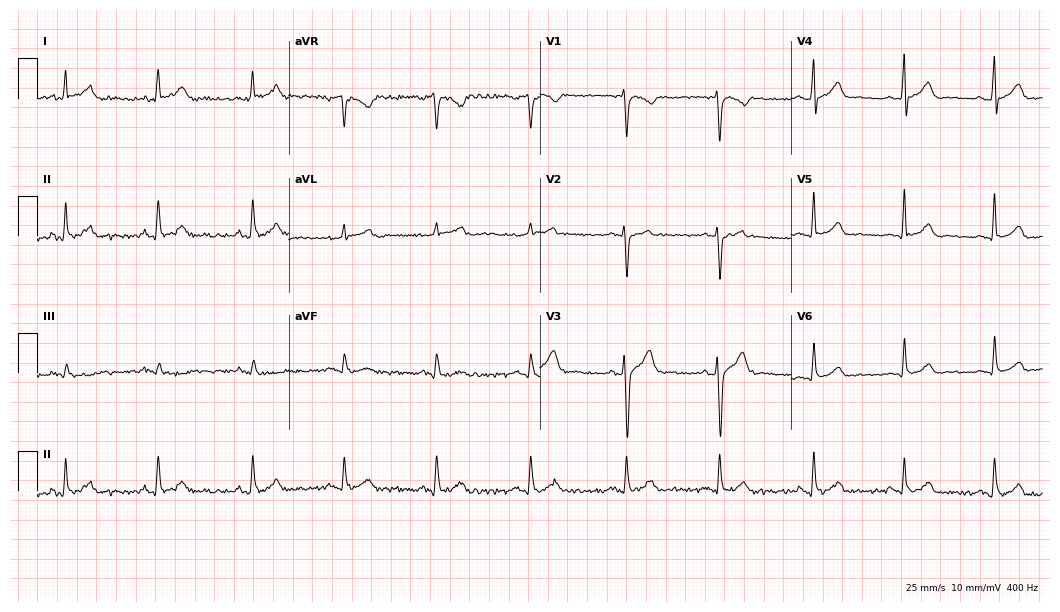
ECG (10.2-second recording at 400 Hz) — a male patient, 35 years old. Labelled as a normal ECG.